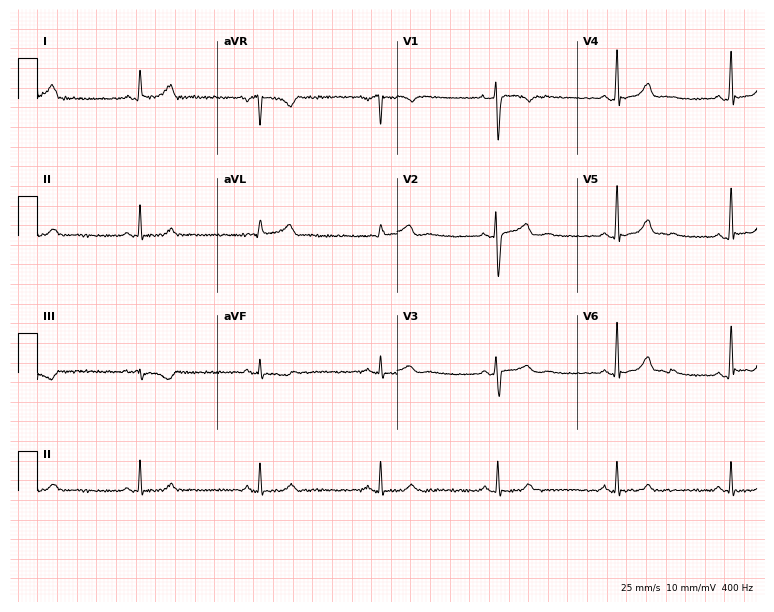
Standard 12-lead ECG recorded from a female patient, 38 years old. The tracing shows sinus bradycardia (a sinus rate of 50 beats per minute or less).